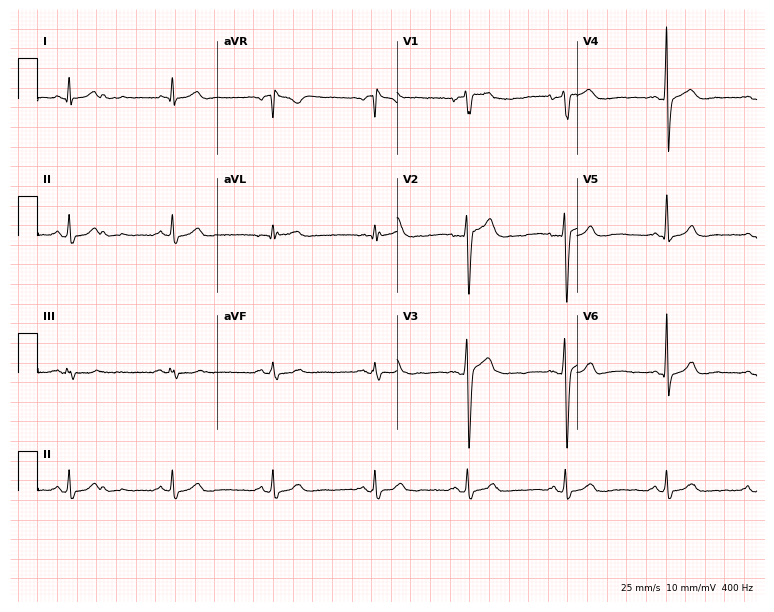
Resting 12-lead electrocardiogram. Patient: a male, 33 years old. Read as a normal ECG.